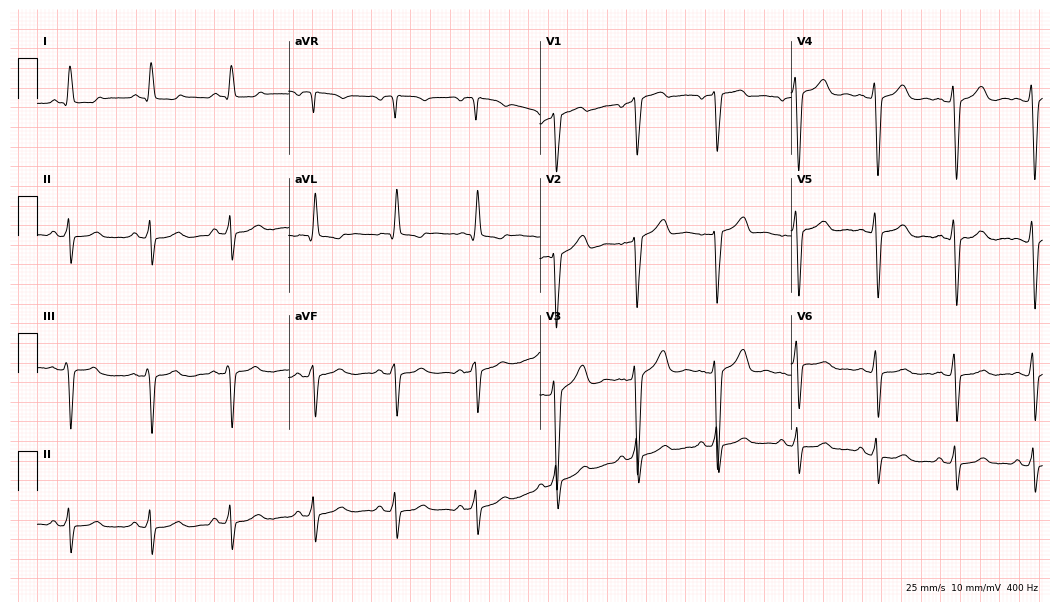
Standard 12-lead ECG recorded from a male, 49 years old (10.2-second recording at 400 Hz). None of these six findings is recorded: first-degree AV block, right bundle branch block, left bundle branch block, sinus bradycardia, atrial fibrillation, sinus tachycardia.